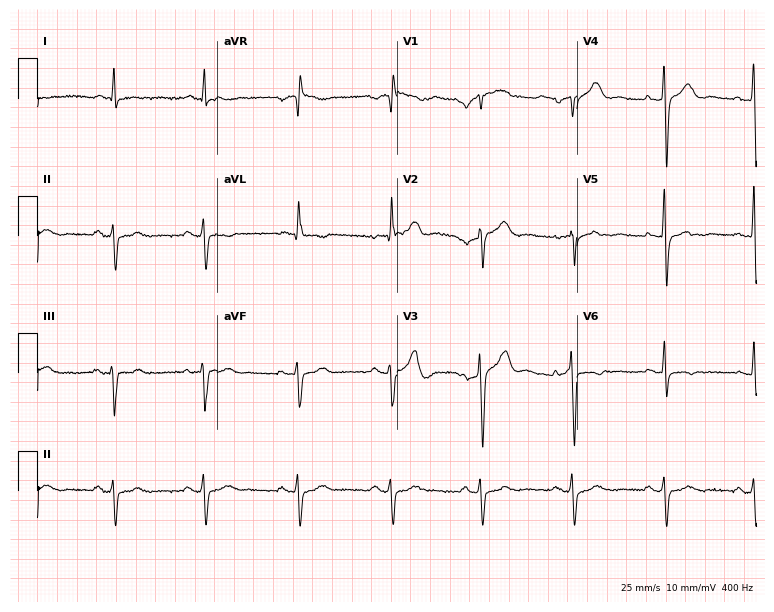
ECG (7.3-second recording at 400 Hz) — a 73-year-old male patient. Screened for six findings — first-degree AV block, right bundle branch block, left bundle branch block, sinus bradycardia, atrial fibrillation, sinus tachycardia — none is recorded.